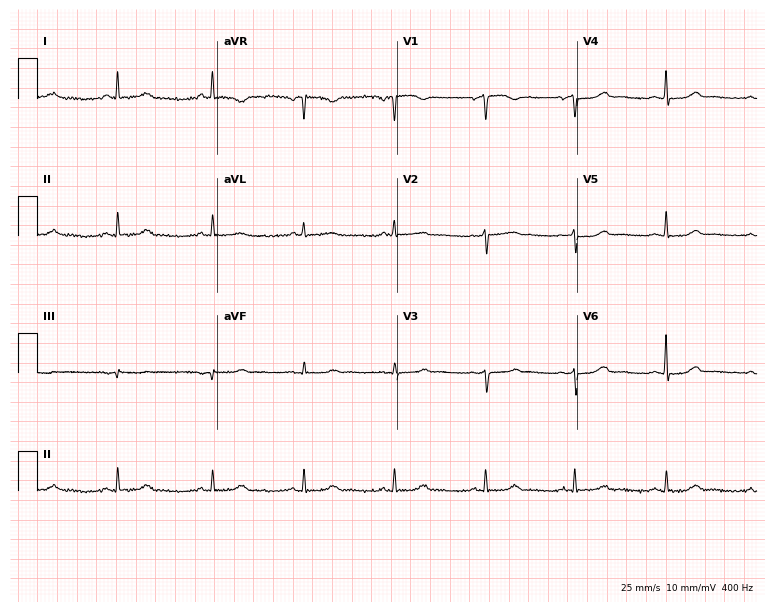
Standard 12-lead ECG recorded from a female, 62 years old (7.3-second recording at 400 Hz). Read as a normal ECG.